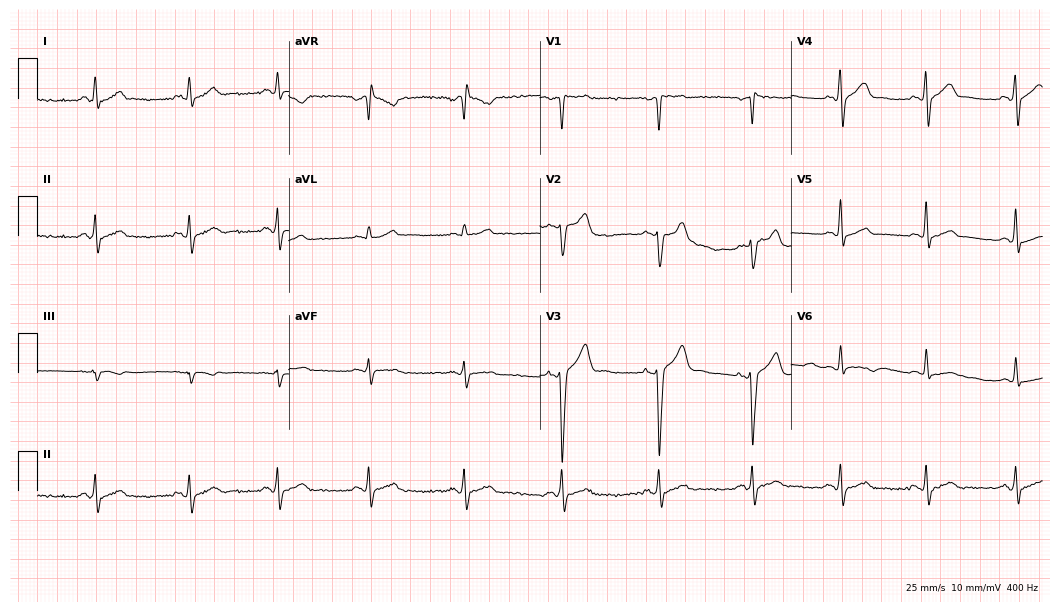
Electrocardiogram, a 27-year-old man. Overall reading on record: normal ECG.